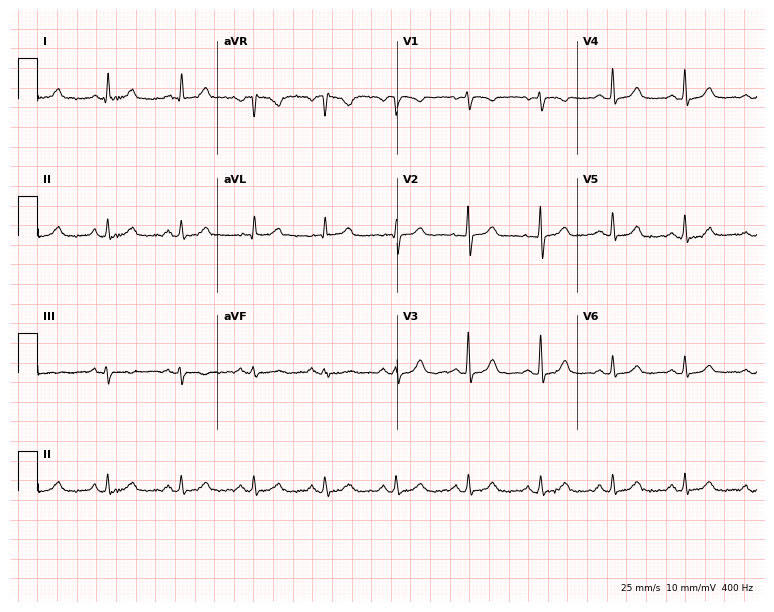
Electrocardiogram (7.3-second recording at 400 Hz), a female patient, 68 years old. Overall reading on record: normal ECG.